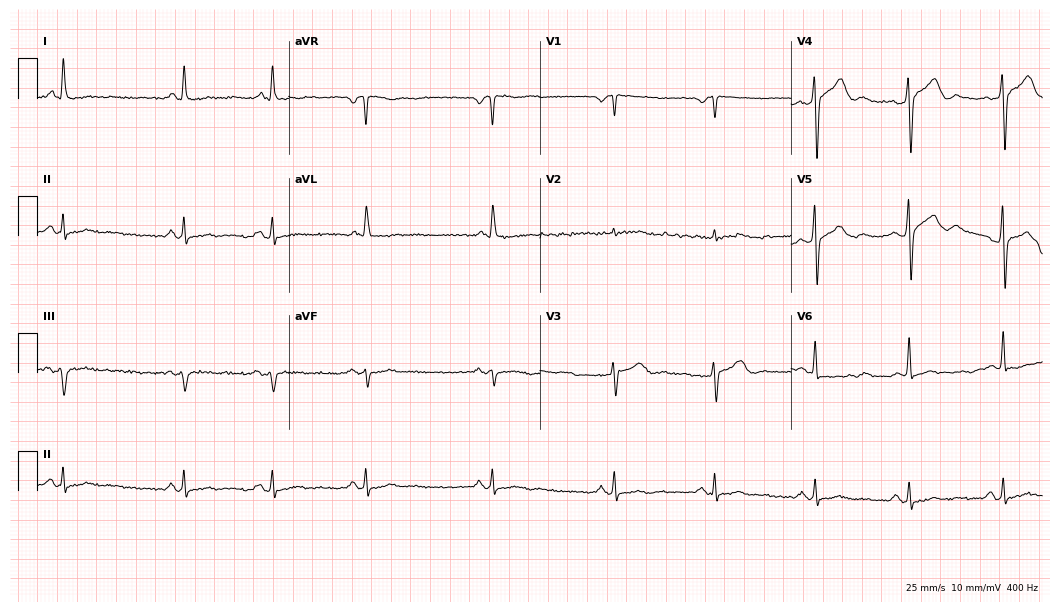
12-lead ECG from a 63-year-old man (10.2-second recording at 400 Hz). No first-degree AV block, right bundle branch block, left bundle branch block, sinus bradycardia, atrial fibrillation or sinus tachycardia recorded for this tracing. Other findings, if any, are not listed.